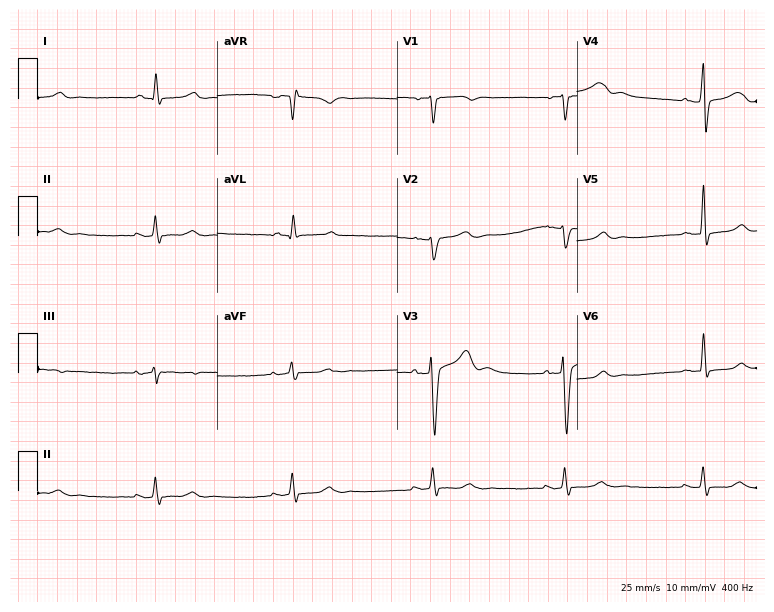
Standard 12-lead ECG recorded from a 66-year-old male (7.3-second recording at 400 Hz). None of these six findings is recorded: first-degree AV block, right bundle branch block (RBBB), left bundle branch block (LBBB), sinus bradycardia, atrial fibrillation (AF), sinus tachycardia. Other findings, if any, are not listed.